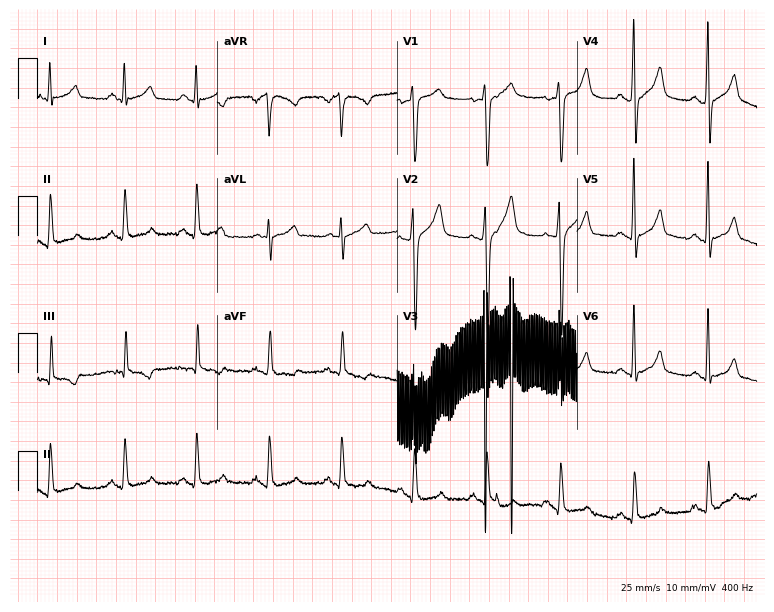
Resting 12-lead electrocardiogram. Patient: a male, 56 years old. Read as a normal ECG.